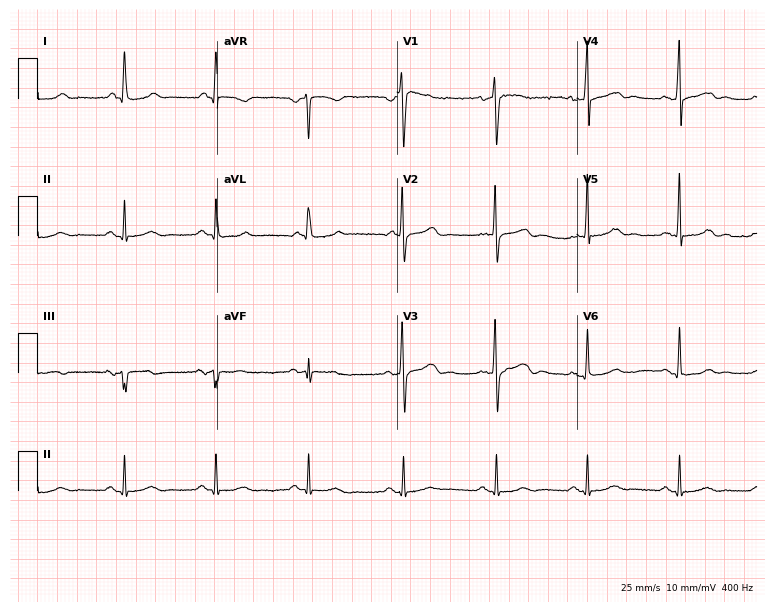
12-lead ECG from a 58-year-old man (7.3-second recording at 400 Hz). No first-degree AV block, right bundle branch block, left bundle branch block, sinus bradycardia, atrial fibrillation or sinus tachycardia recorded for this tracing. Findings outside these six are not listed.